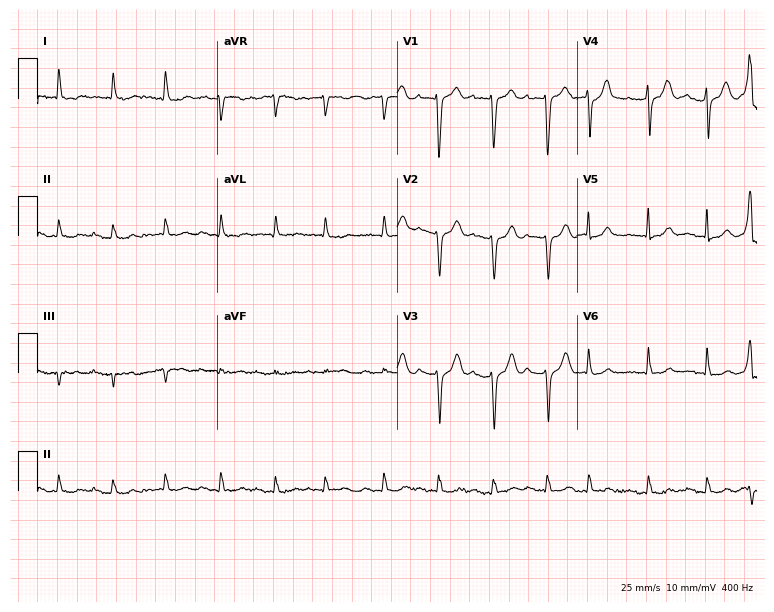
Electrocardiogram (7.3-second recording at 400 Hz), a 79-year-old female. Interpretation includes first-degree AV block, sinus tachycardia (a sinus rate of 100 beats per minute or more).